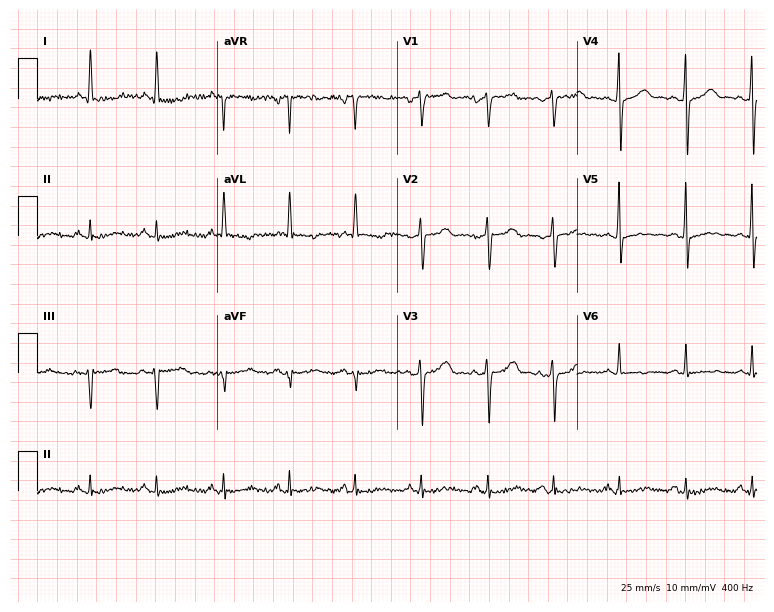
Resting 12-lead electrocardiogram (7.3-second recording at 400 Hz). Patient: a 74-year-old male. None of these six findings is recorded: first-degree AV block, right bundle branch block, left bundle branch block, sinus bradycardia, atrial fibrillation, sinus tachycardia.